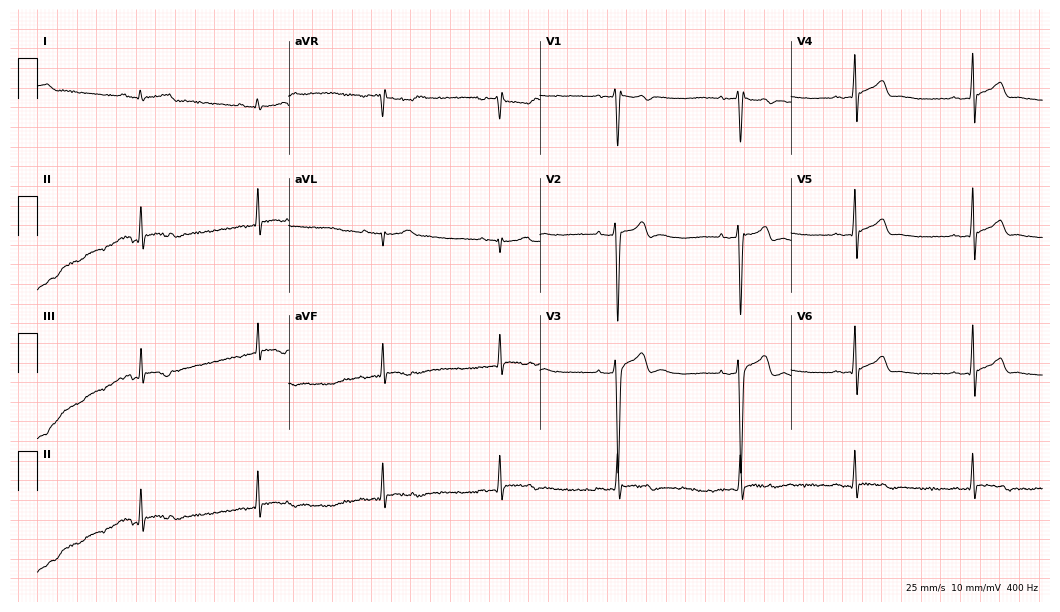
12-lead ECG (10.2-second recording at 400 Hz) from a male, 22 years old. Screened for six findings — first-degree AV block, right bundle branch block (RBBB), left bundle branch block (LBBB), sinus bradycardia, atrial fibrillation (AF), sinus tachycardia — none is recorded. Other findings, if any, are not listed.